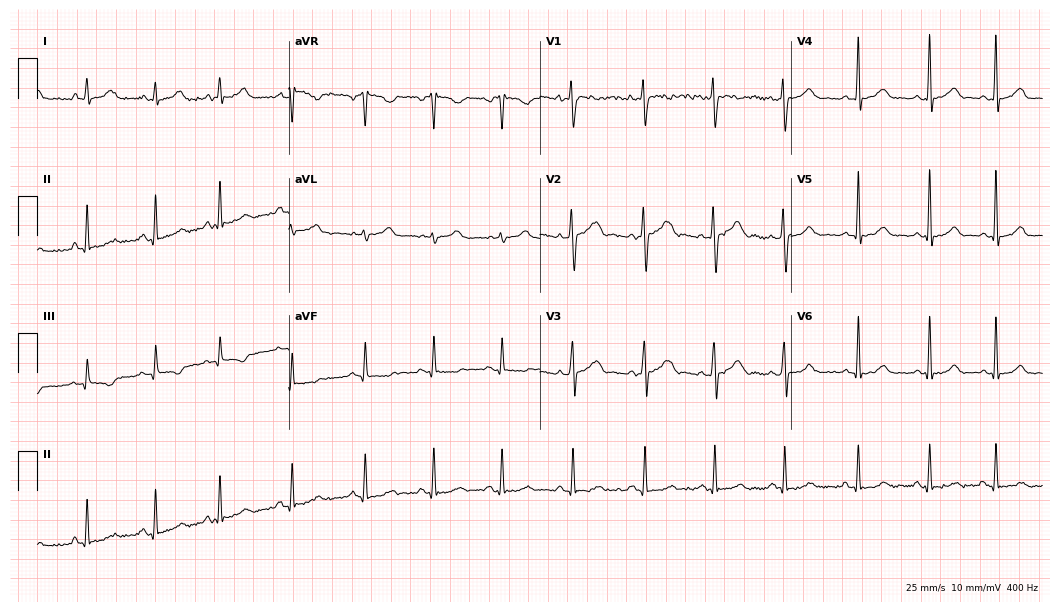
Resting 12-lead electrocardiogram. Patient: a 20-year-old woman. Read as a normal ECG.